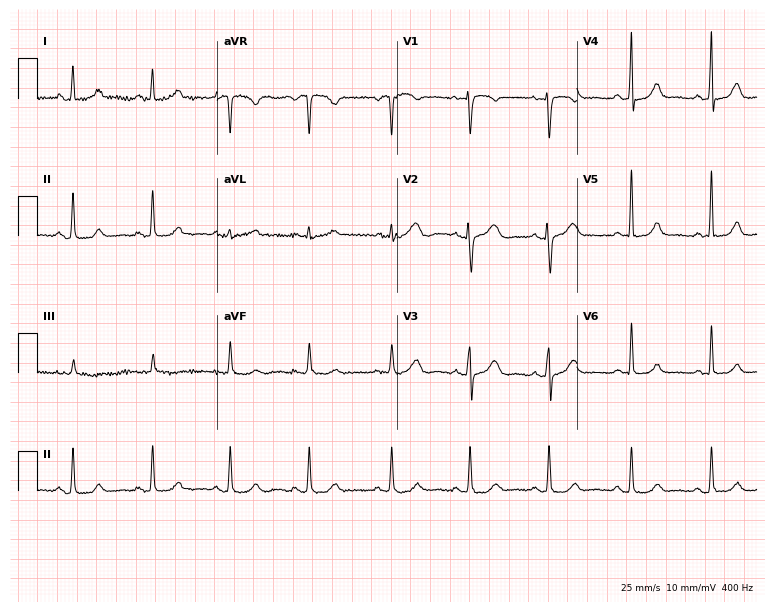
Electrocardiogram (7.3-second recording at 400 Hz), a female patient, 46 years old. Of the six screened findings (first-degree AV block, right bundle branch block, left bundle branch block, sinus bradycardia, atrial fibrillation, sinus tachycardia), none is recorded.